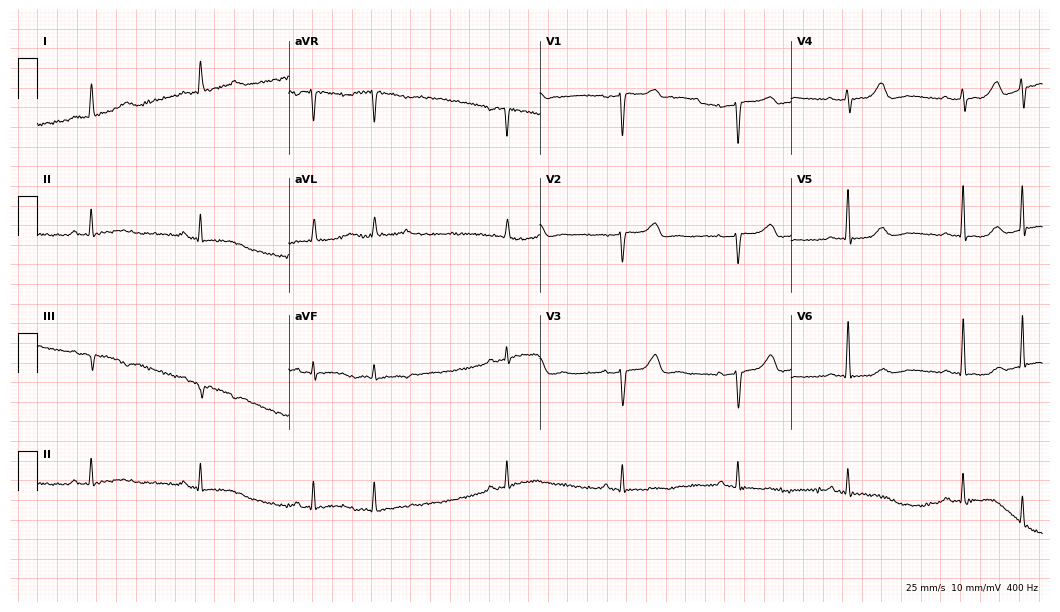
12-lead ECG (10.2-second recording at 400 Hz) from a female patient, 70 years old. Screened for six findings — first-degree AV block, right bundle branch block, left bundle branch block, sinus bradycardia, atrial fibrillation, sinus tachycardia — none is recorded.